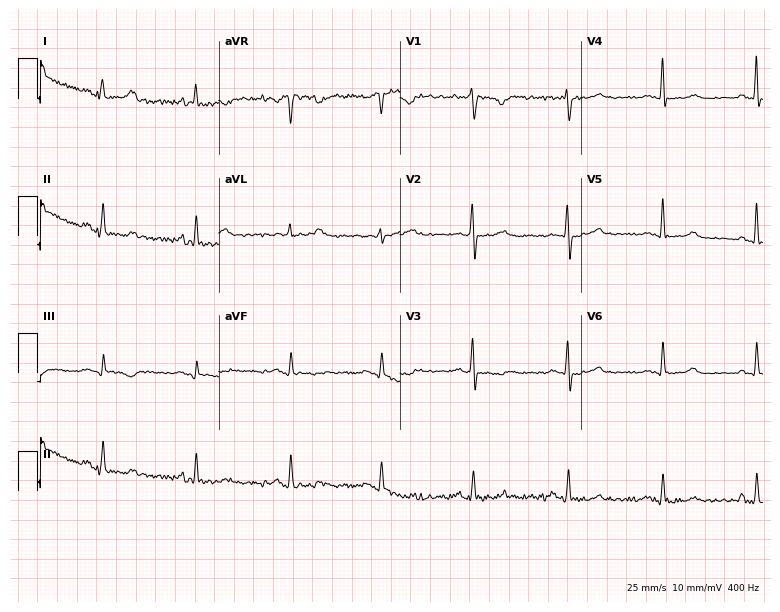
12-lead ECG from a 54-year-old woman (7.4-second recording at 400 Hz). Recorded interpretation: within normal limits.